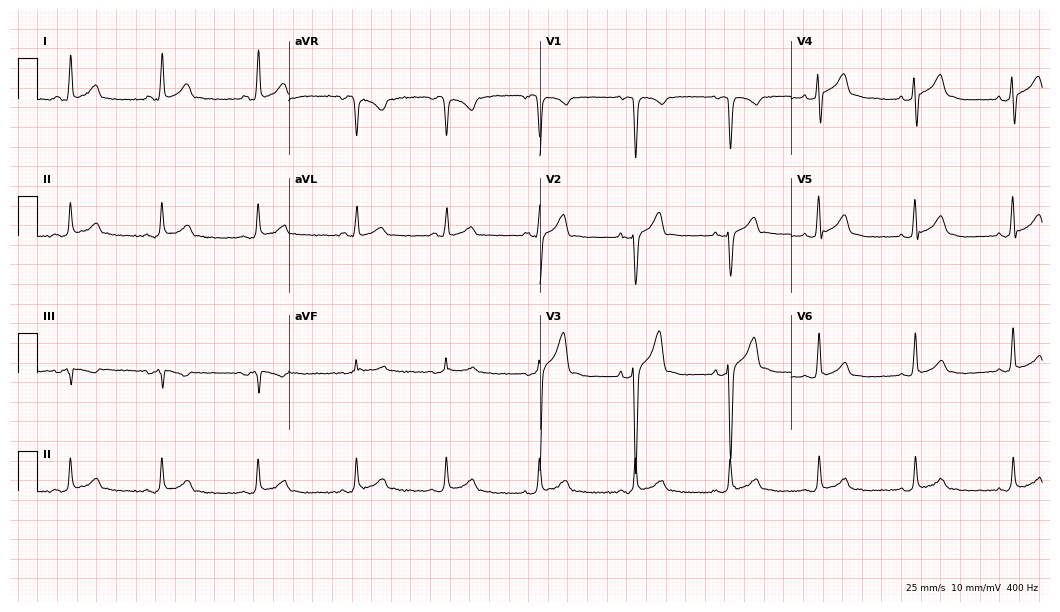
Resting 12-lead electrocardiogram (10.2-second recording at 400 Hz). Patient: a 24-year-old man. None of these six findings is recorded: first-degree AV block, right bundle branch block, left bundle branch block, sinus bradycardia, atrial fibrillation, sinus tachycardia.